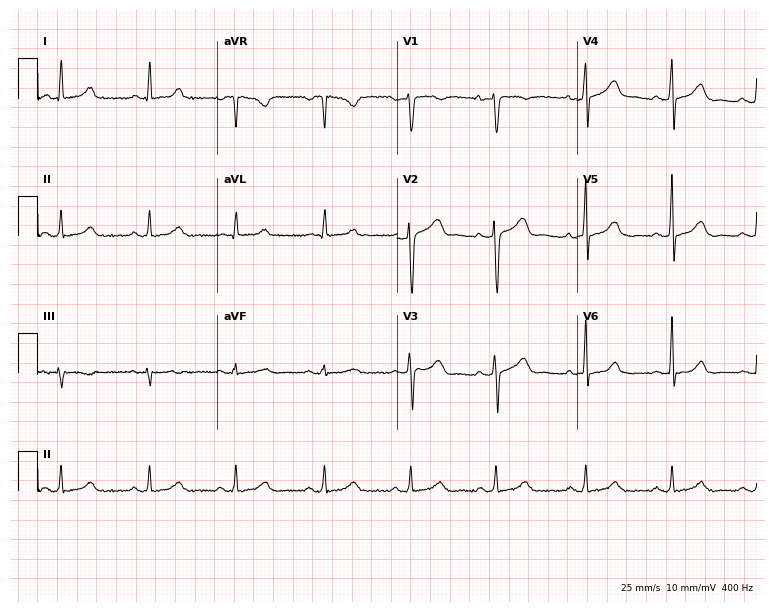
Electrocardiogram, a woman, 43 years old. Overall reading on record: normal ECG.